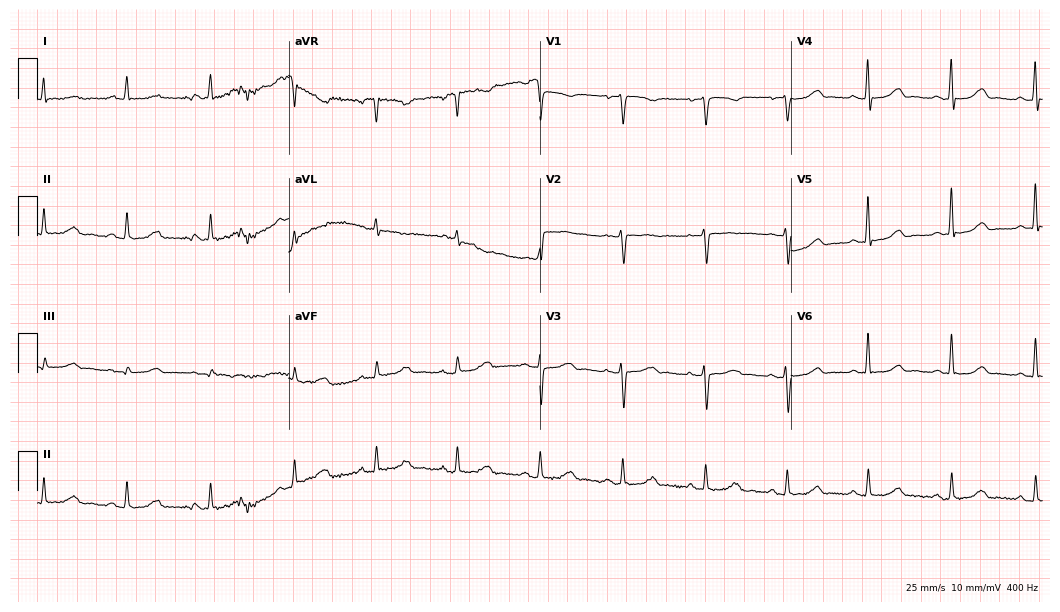
Standard 12-lead ECG recorded from a woman, 48 years old. None of these six findings is recorded: first-degree AV block, right bundle branch block, left bundle branch block, sinus bradycardia, atrial fibrillation, sinus tachycardia. Findings outside these six are not listed.